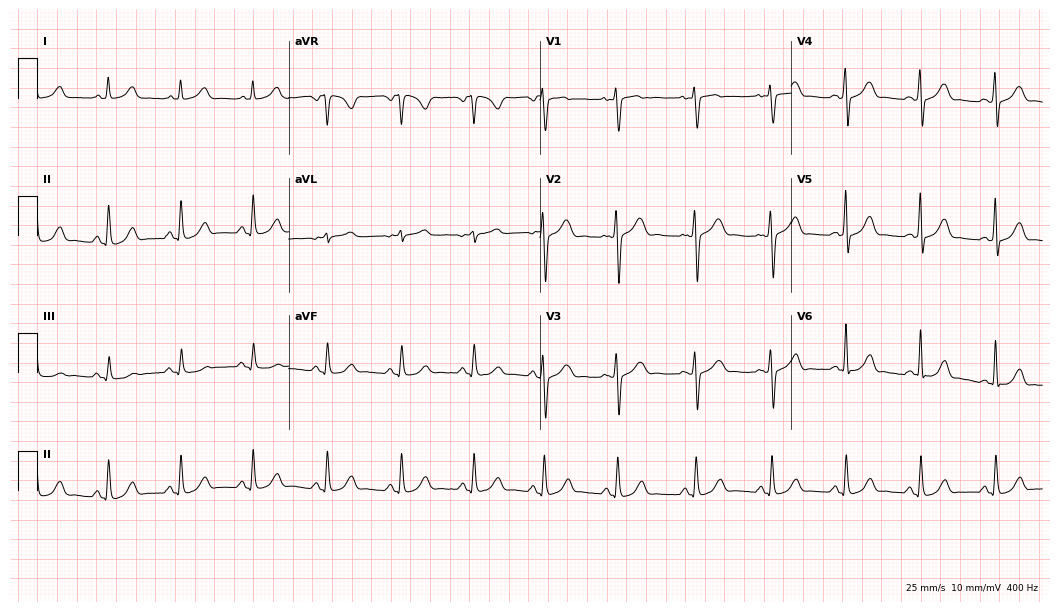
Resting 12-lead electrocardiogram. Patient: a 32-year-old female. Read as a normal ECG.